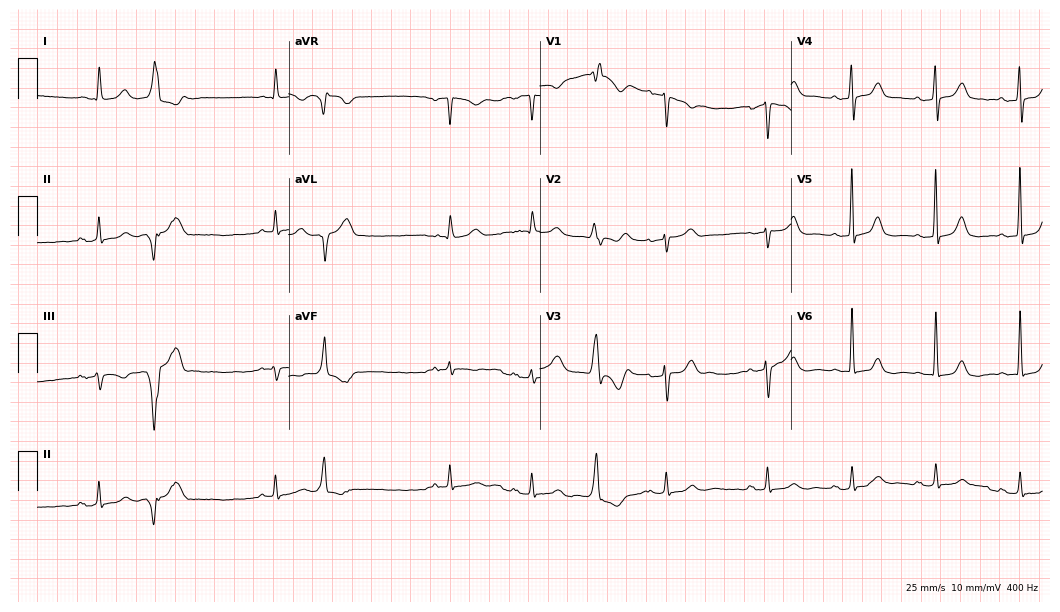
Electrocardiogram (10.2-second recording at 400 Hz), a 68-year-old woman. Of the six screened findings (first-degree AV block, right bundle branch block, left bundle branch block, sinus bradycardia, atrial fibrillation, sinus tachycardia), none is recorded.